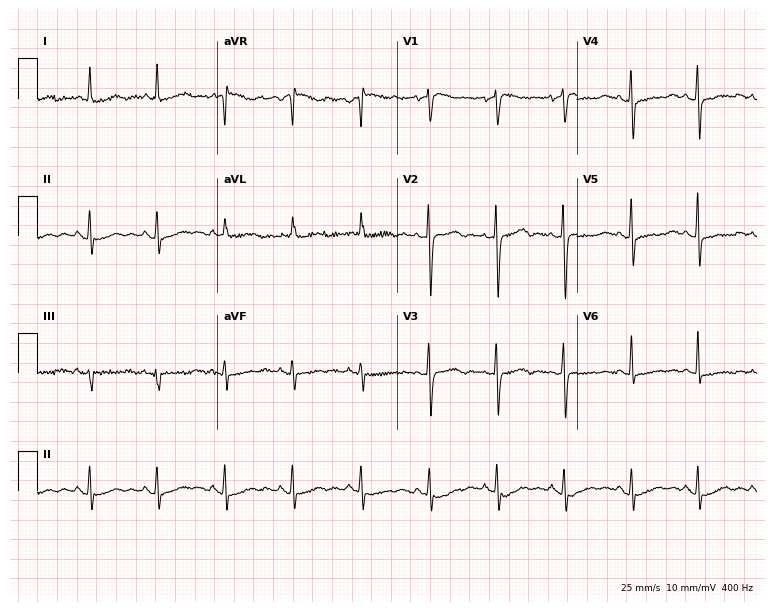
12-lead ECG (7.3-second recording at 400 Hz) from a female, 73 years old. Screened for six findings — first-degree AV block, right bundle branch block (RBBB), left bundle branch block (LBBB), sinus bradycardia, atrial fibrillation (AF), sinus tachycardia — none is recorded.